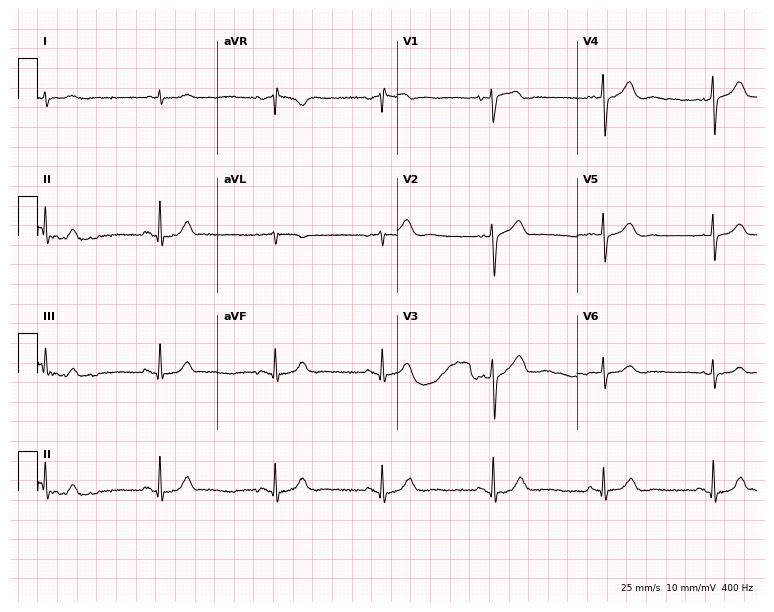
Standard 12-lead ECG recorded from a man, 68 years old. None of these six findings is recorded: first-degree AV block, right bundle branch block (RBBB), left bundle branch block (LBBB), sinus bradycardia, atrial fibrillation (AF), sinus tachycardia.